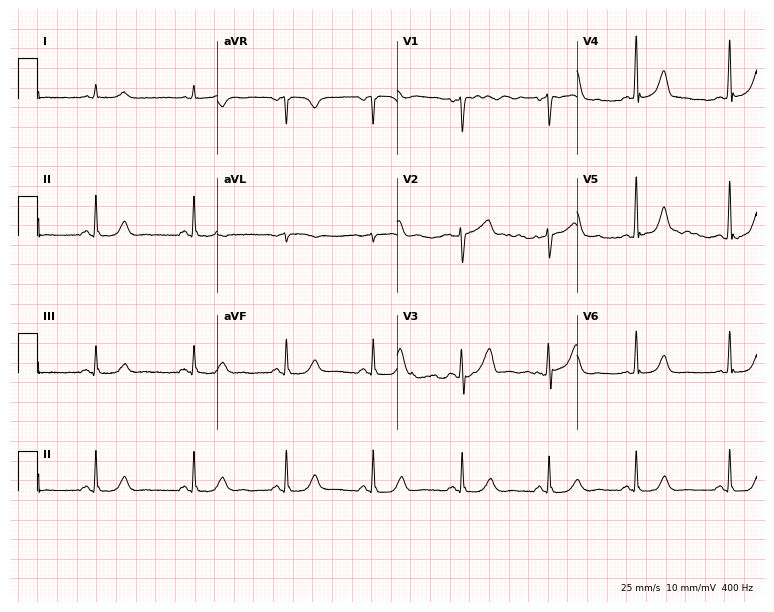
Resting 12-lead electrocardiogram (7.3-second recording at 400 Hz). Patient: a male, 68 years old. None of these six findings is recorded: first-degree AV block, right bundle branch block, left bundle branch block, sinus bradycardia, atrial fibrillation, sinus tachycardia.